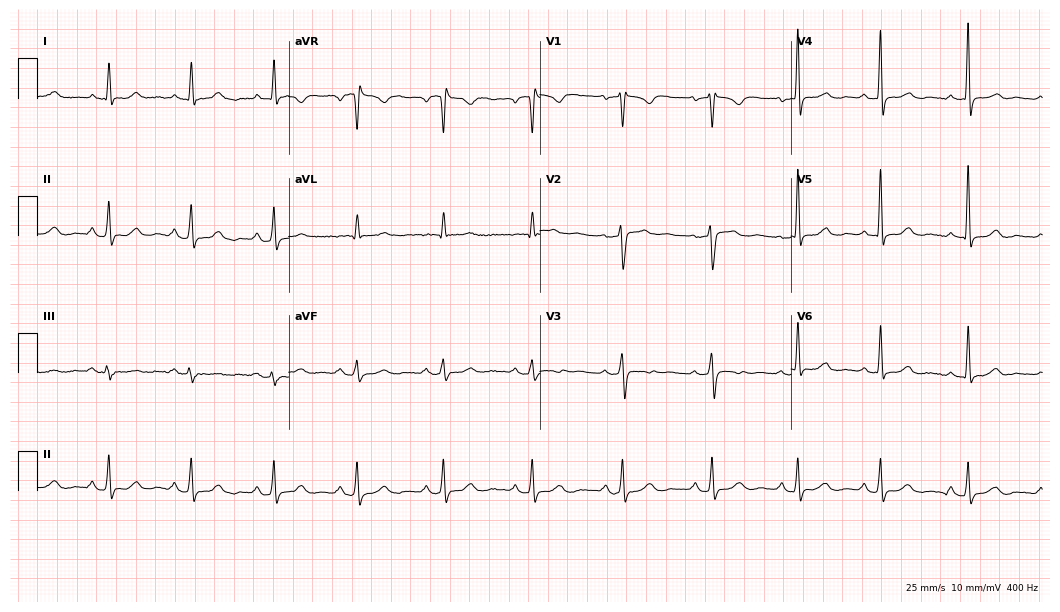
12-lead ECG from a 59-year-old woman. No first-degree AV block, right bundle branch block, left bundle branch block, sinus bradycardia, atrial fibrillation or sinus tachycardia recorded for this tracing. Findings outside these six are not listed.